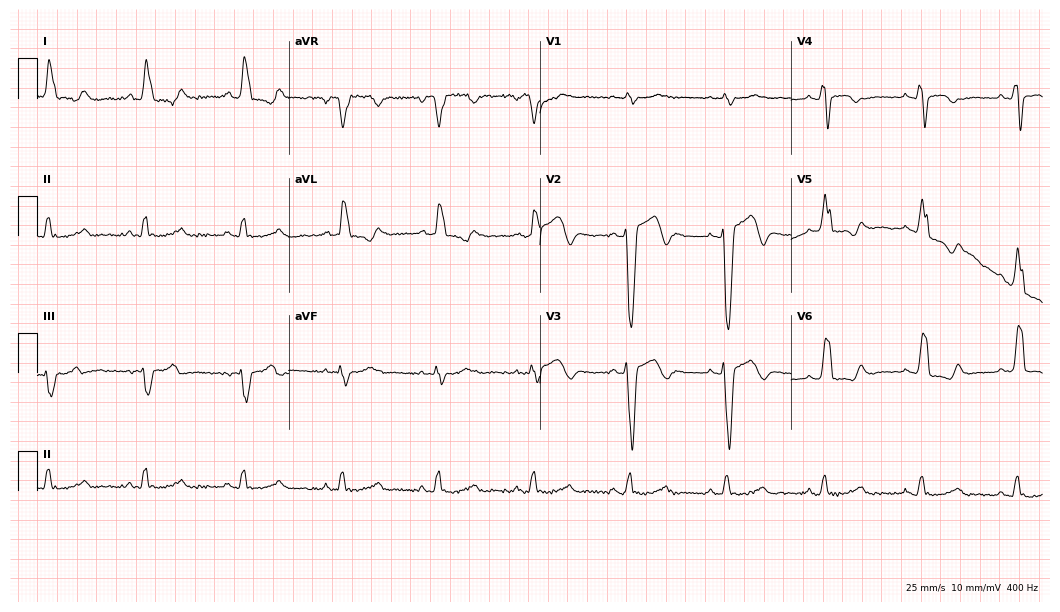
ECG — a 74-year-old male. Findings include left bundle branch block.